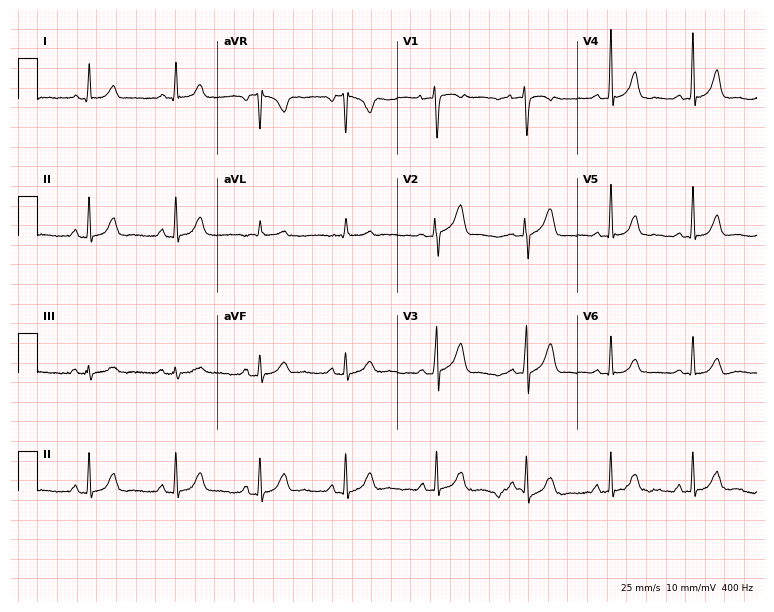
Resting 12-lead electrocardiogram. Patient: a female, 30 years old. None of these six findings is recorded: first-degree AV block, right bundle branch block, left bundle branch block, sinus bradycardia, atrial fibrillation, sinus tachycardia. Only these six findings were labelled.